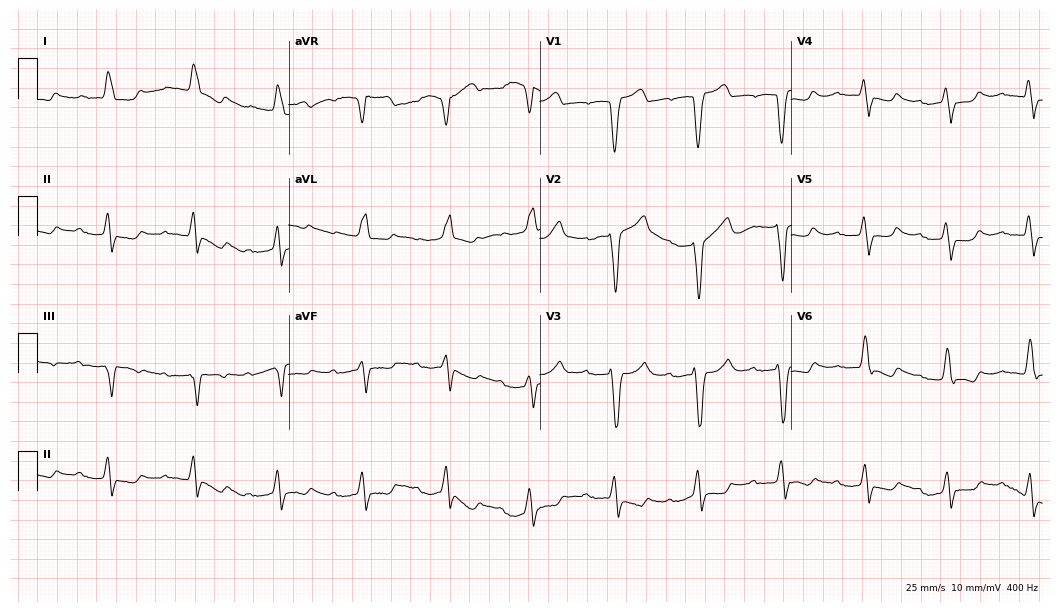
Electrocardiogram (10.2-second recording at 400 Hz), an 82-year-old female patient. Interpretation includes first-degree AV block, left bundle branch block.